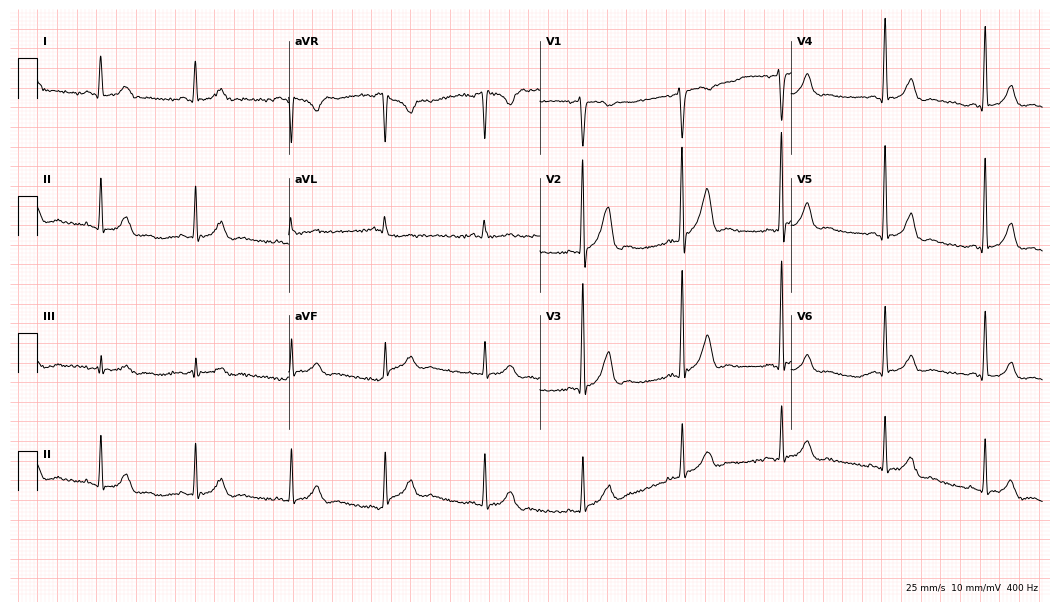
ECG (10.2-second recording at 400 Hz) — a 42-year-old man. Labelled as a normal ECG.